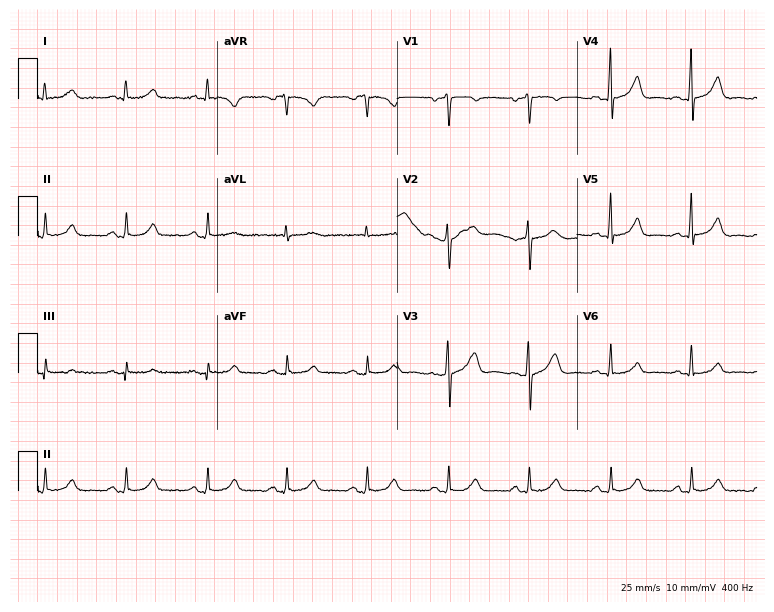
ECG (7.3-second recording at 400 Hz) — a 39-year-old female. Labelled as a normal ECG.